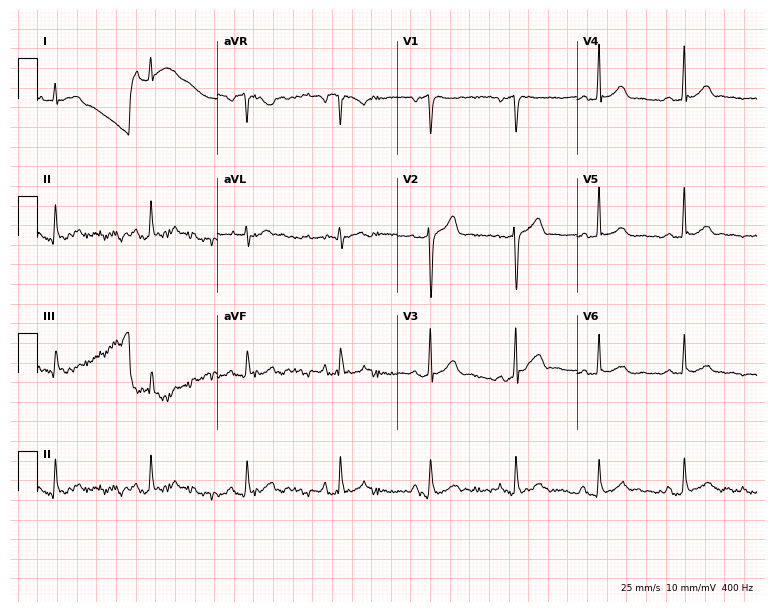
Standard 12-lead ECG recorded from a 40-year-old male (7.3-second recording at 400 Hz). None of these six findings is recorded: first-degree AV block, right bundle branch block (RBBB), left bundle branch block (LBBB), sinus bradycardia, atrial fibrillation (AF), sinus tachycardia.